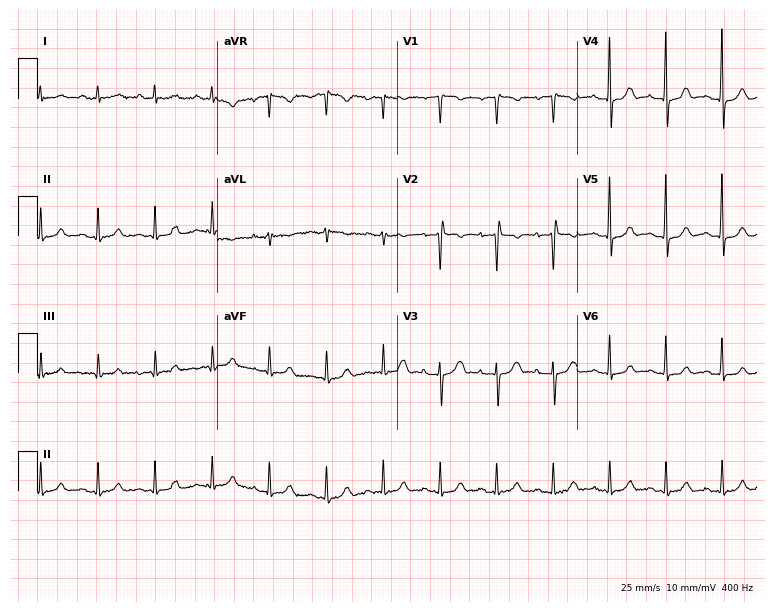
12-lead ECG (7.3-second recording at 400 Hz) from a 63-year-old woman. Findings include sinus tachycardia (a sinus rate of 100 beats per minute or more).